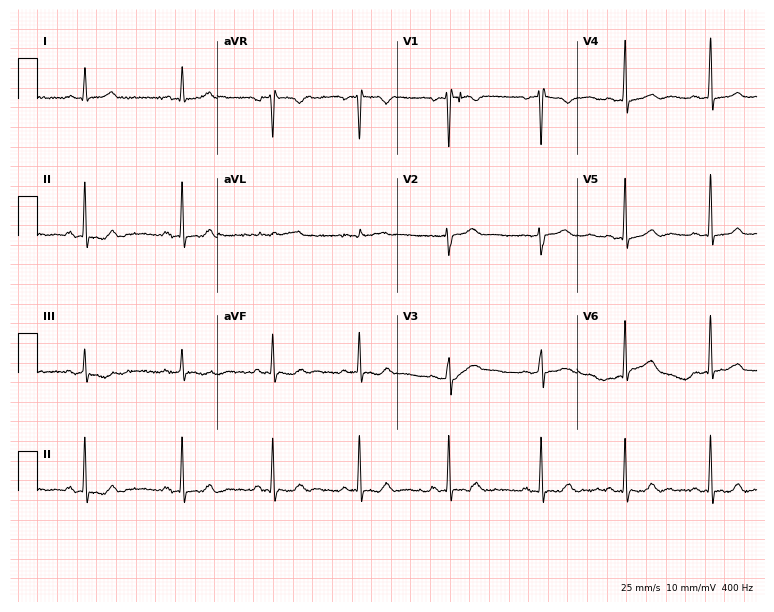
ECG (7.3-second recording at 400 Hz) — a 33-year-old female patient. Screened for six findings — first-degree AV block, right bundle branch block, left bundle branch block, sinus bradycardia, atrial fibrillation, sinus tachycardia — none is recorded.